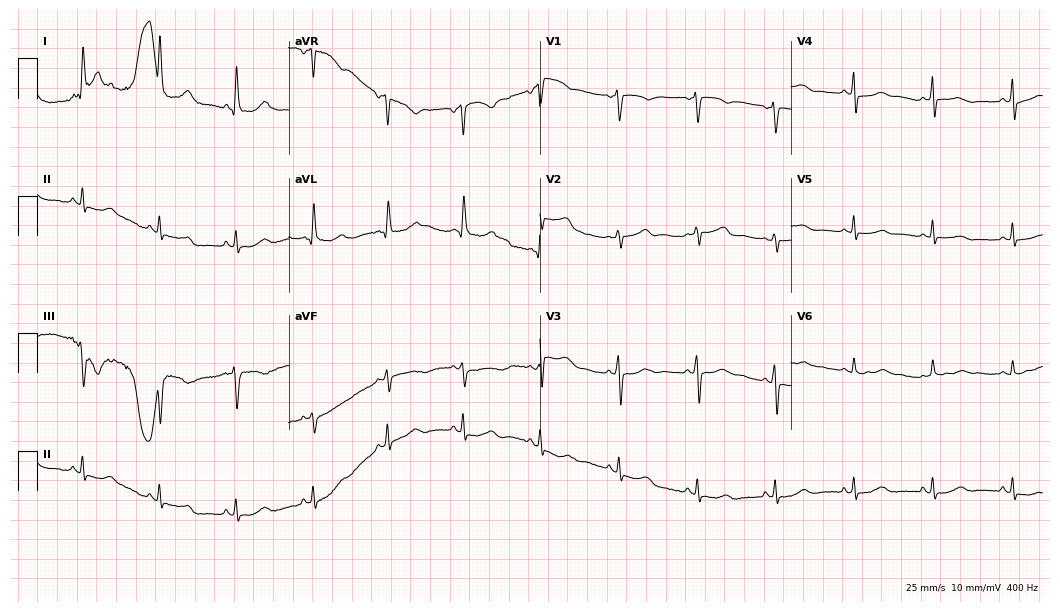
12-lead ECG from a 58-year-old woman. Screened for six findings — first-degree AV block, right bundle branch block (RBBB), left bundle branch block (LBBB), sinus bradycardia, atrial fibrillation (AF), sinus tachycardia — none is recorded. Other findings, if any, are not listed.